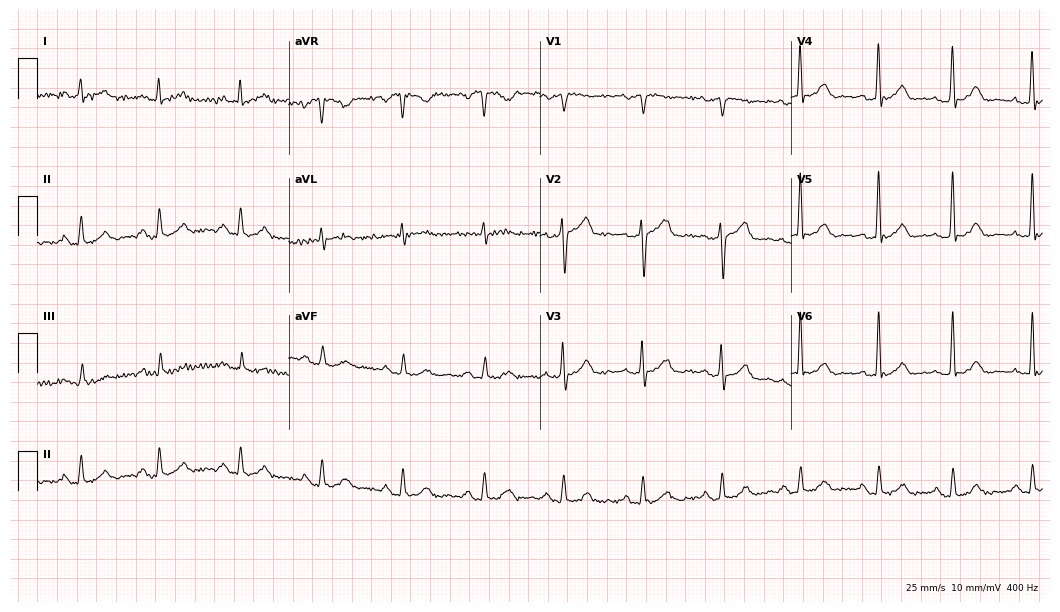
12-lead ECG from a male, 58 years old (10.2-second recording at 400 Hz). Recorded interpretation: within normal limits.